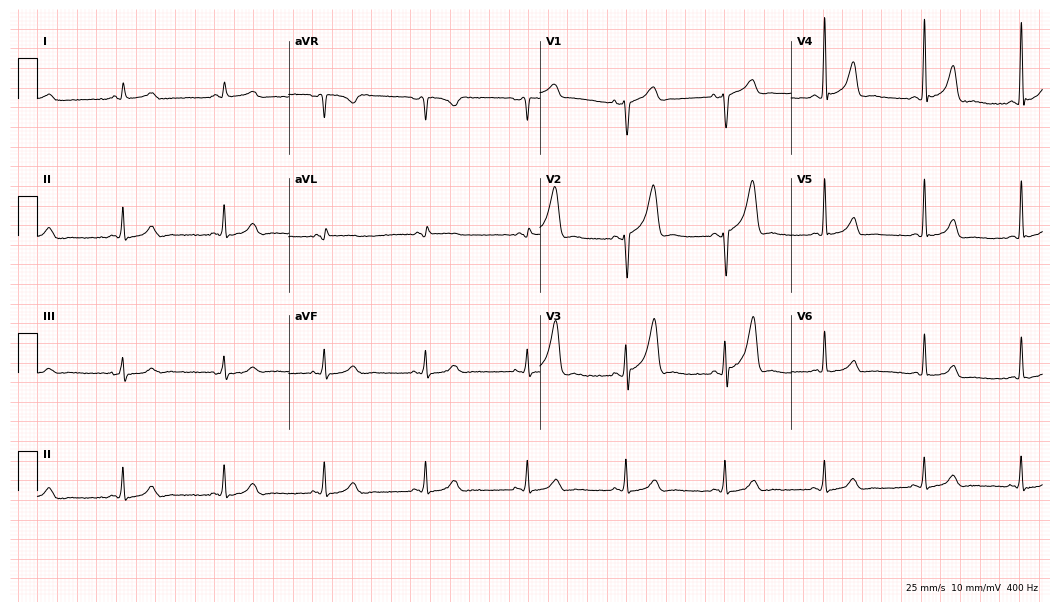
ECG (10.2-second recording at 400 Hz) — a male patient, 46 years old. Screened for six findings — first-degree AV block, right bundle branch block, left bundle branch block, sinus bradycardia, atrial fibrillation, sinus tachycardia — none is recorded. Only these six findings were labelled.